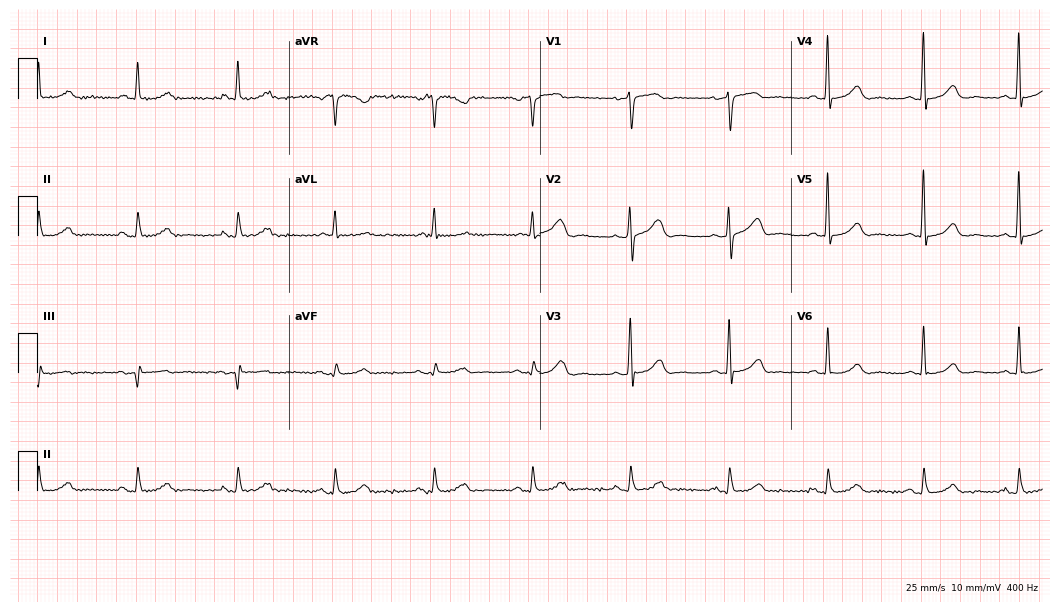
12-lead ECG from a woman, 60 years old. Labelled as a normal ECG.